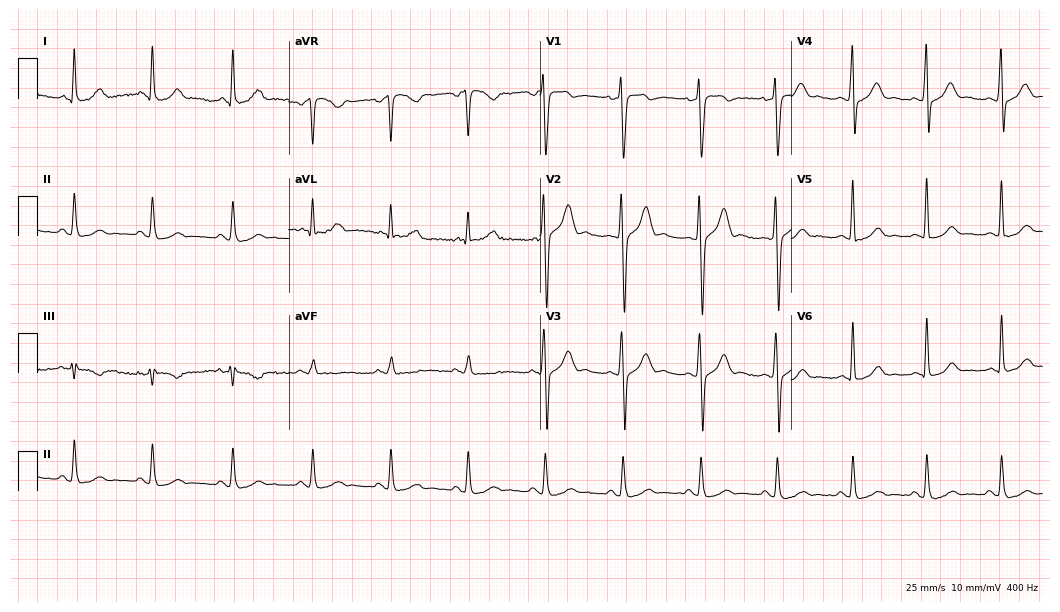
12-lead ECG from a 32-year-old man (10.2-second recording at 400 Hz). No first-degree AV block, right bundle branch block (RBBB), left bundle branch block (LBBB), sinus bradycardia, atrial fibrillation (AF) or sinus tachycardia recorded for this tracing. Only these six findings were labelled.